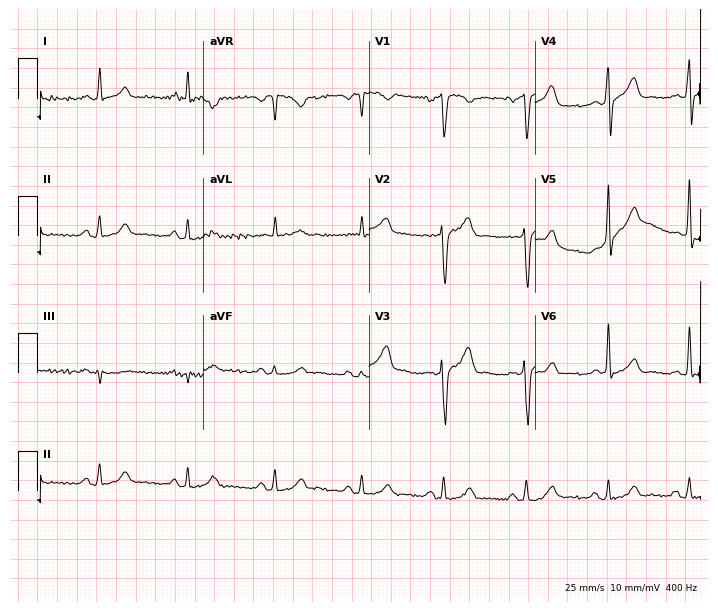
Resting 12-lead electrocardiogram (6.8-second recording at 400 Hz). Patient: a male, 29 years old. None of these six findings is recorded: first-degree AV block, right bundle branch block, left bundle branch block, sinus bradycardia, atrial fibrillation, sinus tachycardia.